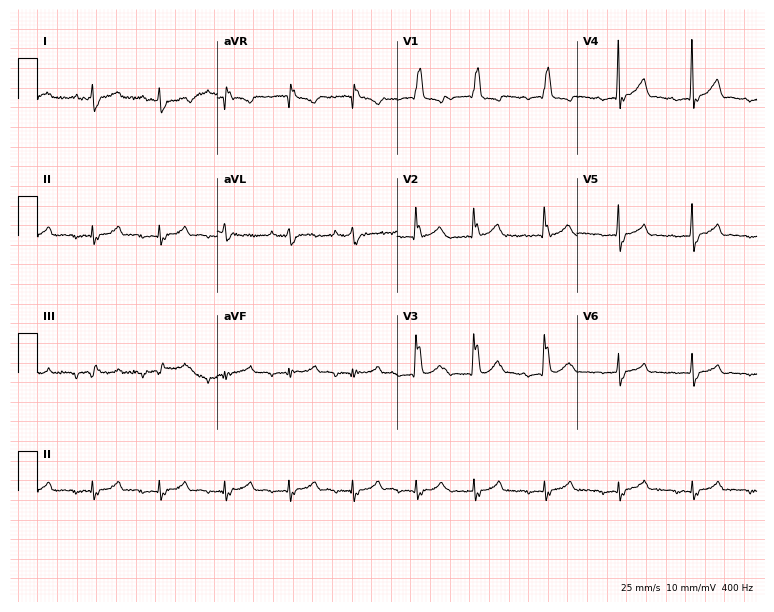
Electrocardiogram (7.3-second recording at 400 Hz), a female, 83 years old. Of the six screened findings (first-degree AV block, right bundle branch block, left bundle branch block, sinus bradycardia, atrial fibrillation, sinus tachycardia), none is recorded.